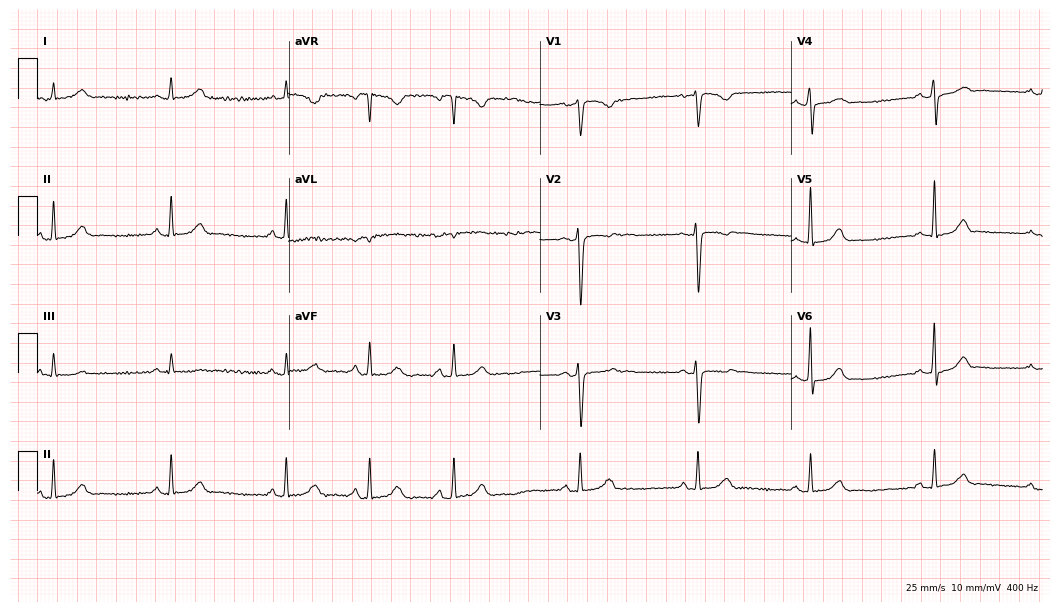
12-lead ECG from a 33-year-old female patient (10.2-second recording at 400 Hz). Recorded interpretation: within normal limits.